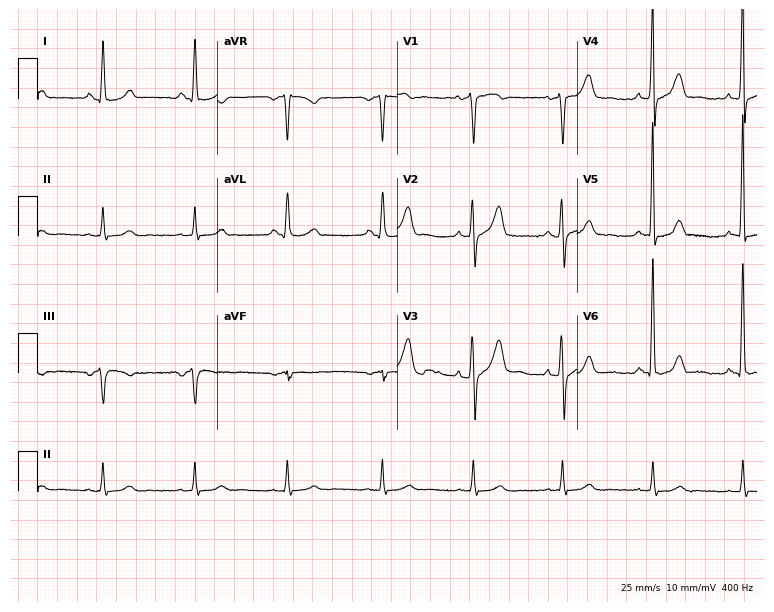
12-lead ECG from a male patient, 63 years old. Screened for six findings — first-degree AV block, right bundle branch block, left bundle branch block, sinus bradycardia, atrial fibrillation, sinus tachycardia — none is recorded. Findings outside these six are not listed.